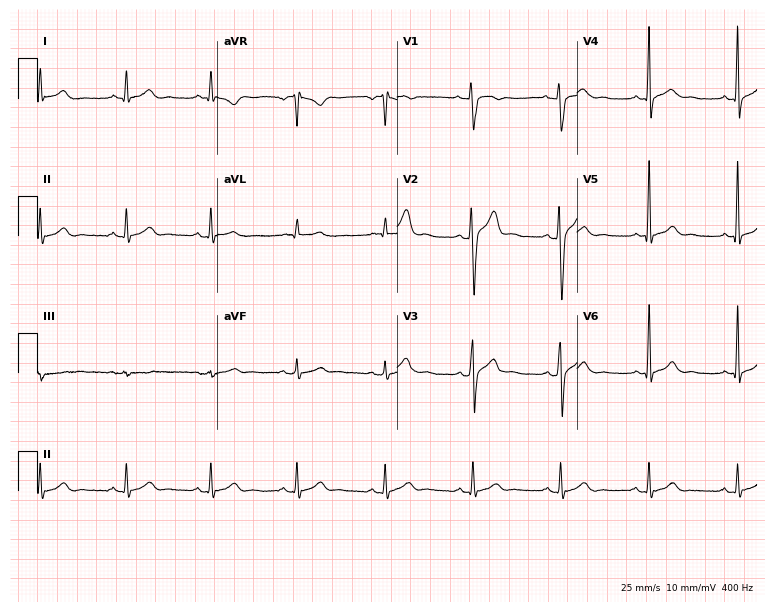
Resting 12-lead electrocardiogram (7.3-second recording at 400 Hz). Patient: a man, 26 years old. None of these six findings is recorded: first-degree AV block, right bundle branch block, left bundle branch block, sinus bradycardia, atrial fibrillation, sinus tachycardia.